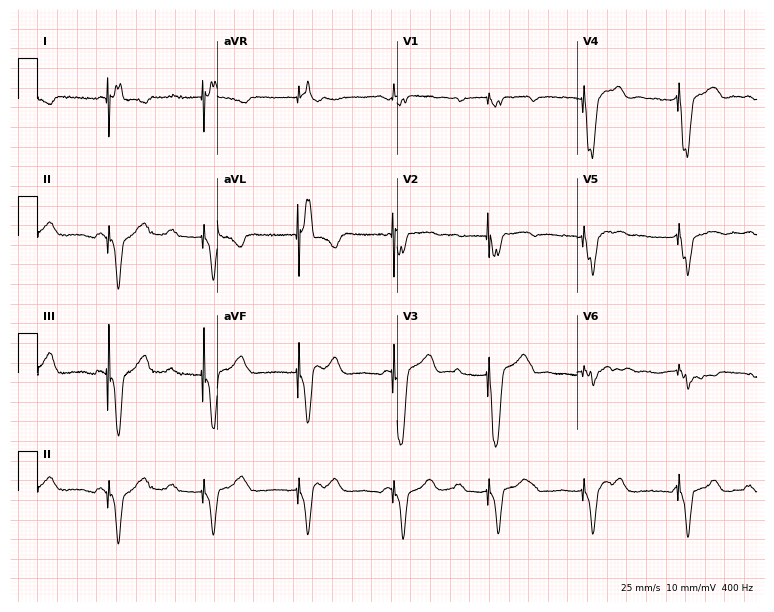
Standard 12-lead ECG recorded from a 65-year-old female patient (7.3-second recording at 400 Hz). None of these six findings is recorded: first-degree AV block, right bundle branch block (RBBB), left bundle branch block (LBBB), sinus bradycardia, atrial fibrillation (AF), sinus tachycardia.